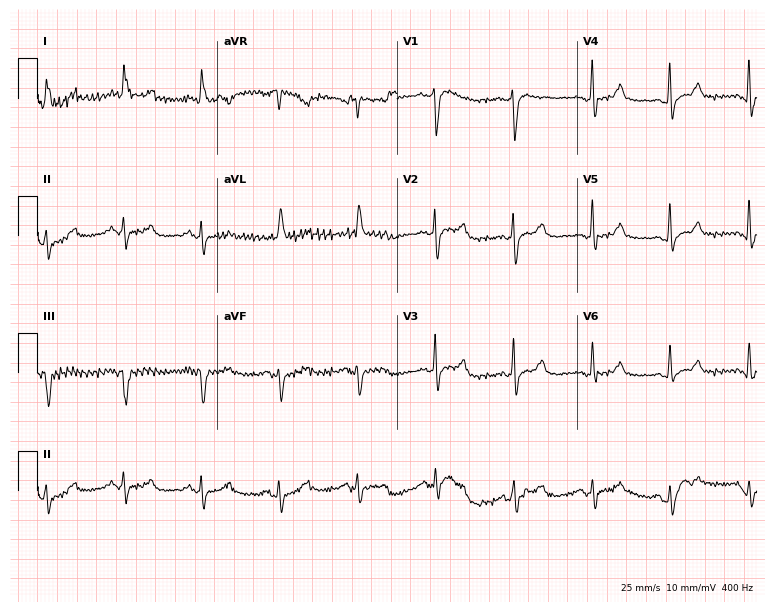
Standard 12-lead ECG recorded from a female, 64 years old (7.3-second recording at 400 Hz). None of these six findings is recorded: first-degree AV block, right bundle branch block (RBBB), left bundle branch block (LBBB), sinus bradycardia, atrial fibrillation (AF), sinus tachycardia. Findings outside these six are not listed.